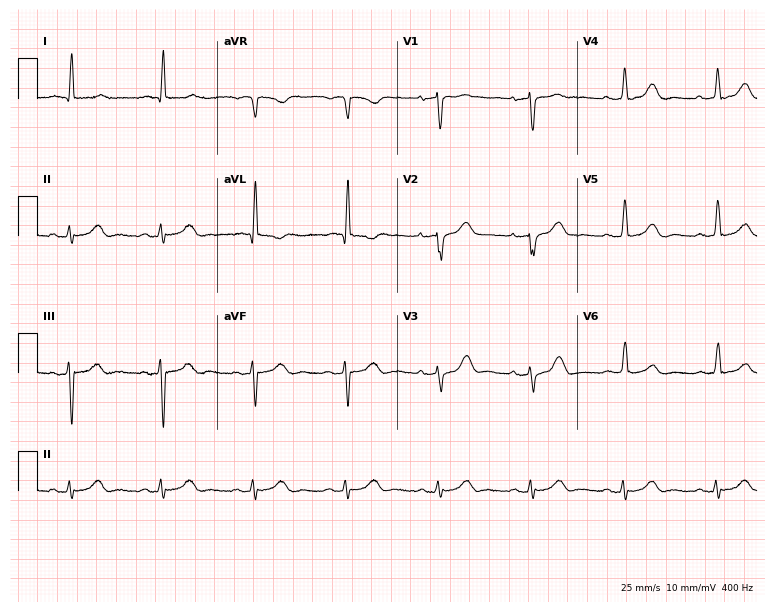
Electrocardiogram, a female patient, 82 years old. Of the six screened findings (first-degree AV block, right bundle branch block, left bundle branch block, sinus bradycardia, atrial fibrillation, sinus tachycardia), none is recorded.